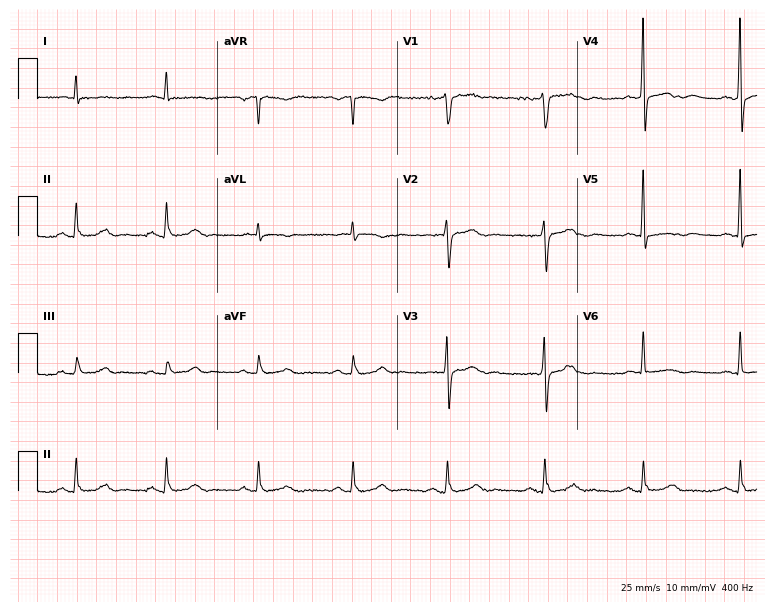
Standard 12-lead ECG recorded from a 78-year-old man. None of these six findings is recorded: first-degree AV block, right bundle branch block, left bundle branch block, sinus bradycardia, atrial fibrillation, sinus tachycardia.